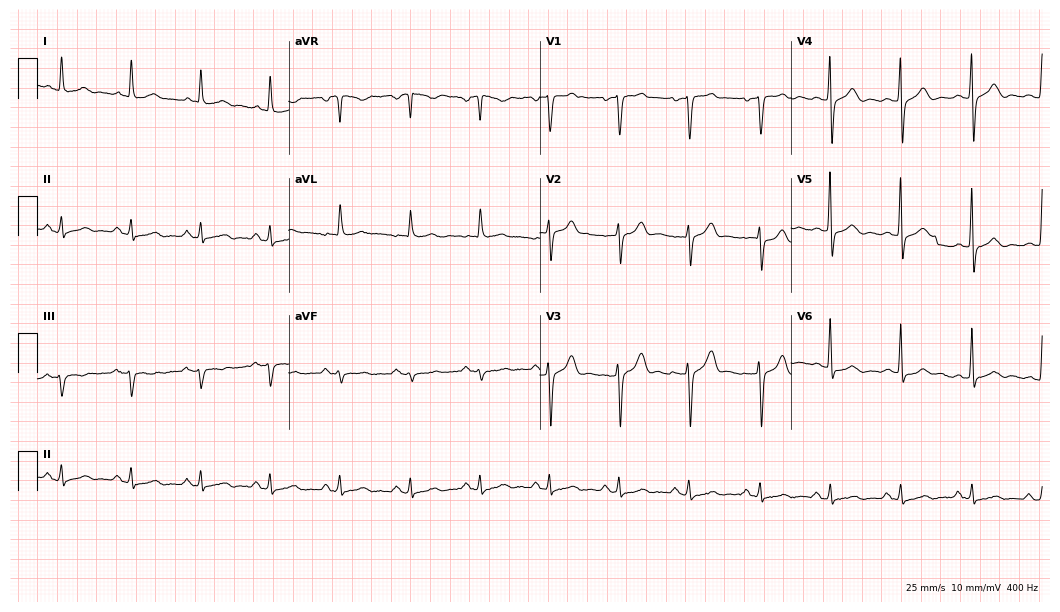
12-lead ECG from a male, 67 years old. Labelled as a normal ECG.